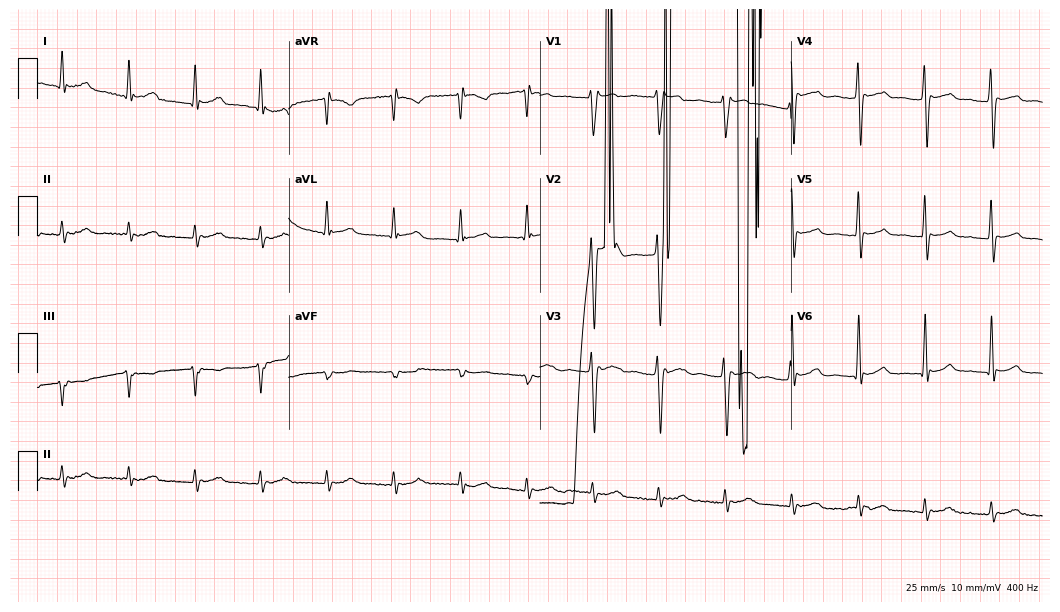
12-lead ECG from a man, 54 years old (10.2-second recording at 400 Hz). No first-degree AV block, right bundle branch block (RBBB), left bundle branch block (LBBB), sinus bradycardia, atrial fibrillation (AF) or sinus tachycardia recorded for this tracing.